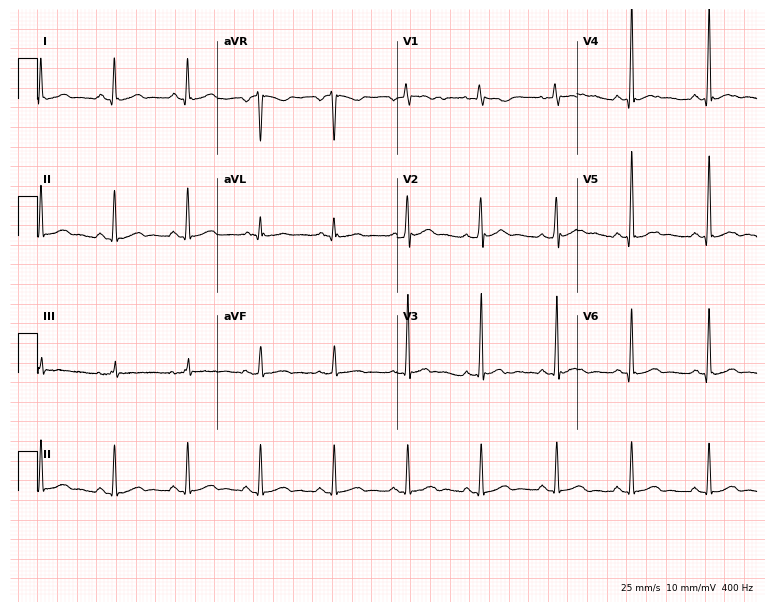
Electrocardiogram, a 48-year-old male patient. Of the six screened findings (first-degree AV block, right bundle branch block, left bundle branch block, sinus bradycardia, atrial fibrillation, sinus tachycardia), none is recorded. Other findings, if any, are not listed.